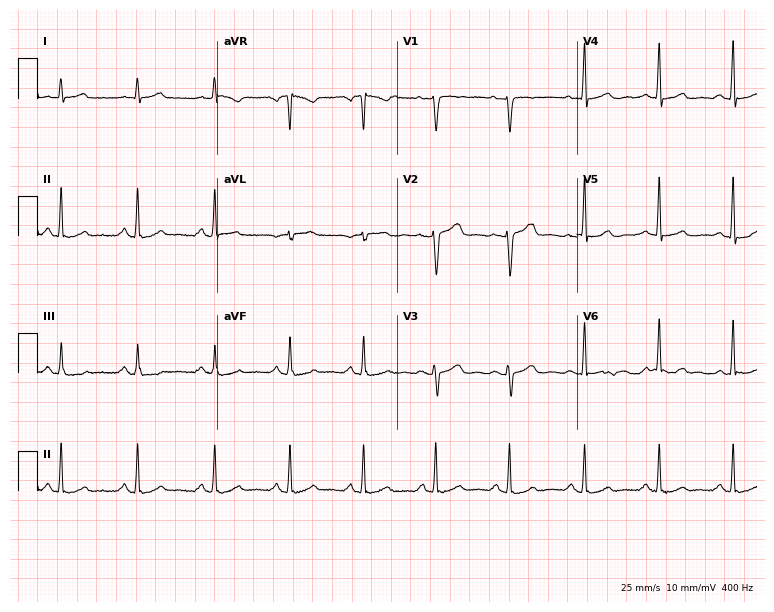
12-lead ECG (7.3-second recording at 400 Hz) from a male, 40 years old. Labelled as a normal ECG.